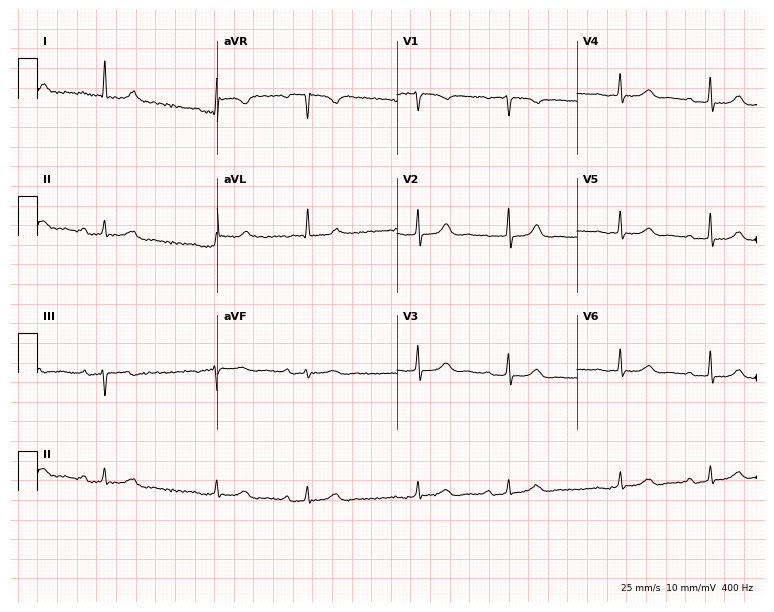
12-lead ECG from a female patient, 73 years old. Screened for six findings — first-degree AV block, right bundle branch block (RBBB), left bundle branch block (LBBB), sinus bradycardia, atrial fibrillation (AF), sinus tachycardia — none is recorded. Only these six findings were labelled.